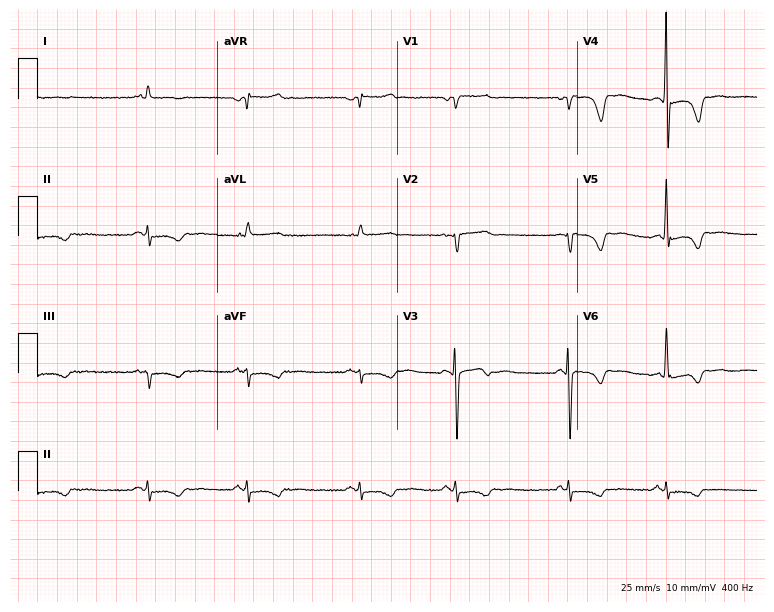
Electrocardiogram (7.3-second recording at 400 Hz), a female, 58 years old. Of the six screened findings (first-degree AV block, right bundle branch block (RBBB), left bundle branch block (LBBB), sinus bradycardia, atrial fibrillation (AF), sinus tachycardia), none is recorded. Findings outside these six are not listed.